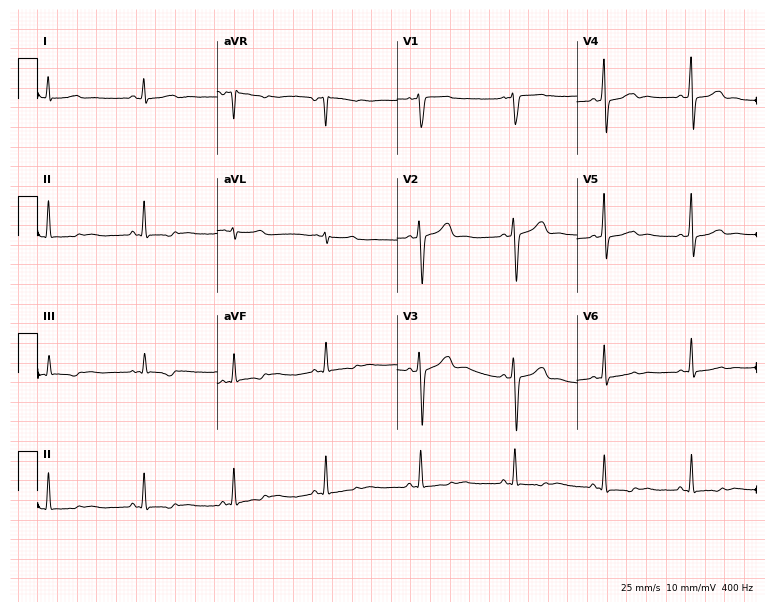
ECG (7.3-second recording at 400 Hz) — a 31-year-old female. Screened for six findings — first-degree AV block, right bundle branch block, left bundle branch block, sinus bradycardia, atrial fibrillation, sinus tachycardia — none is recorded.